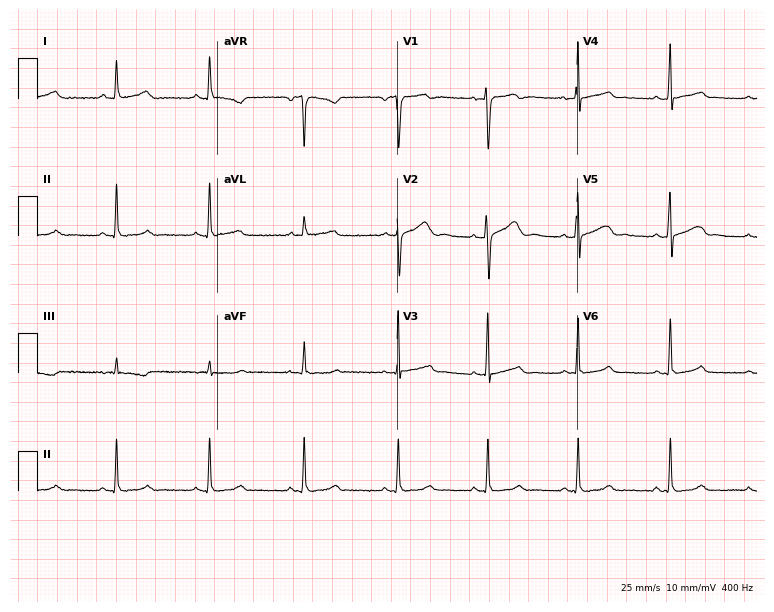
Standard 12-lead ECG recorded from a 36-year-old woman (7.3-second recording at 400 Hz). Read as a normal ECG.